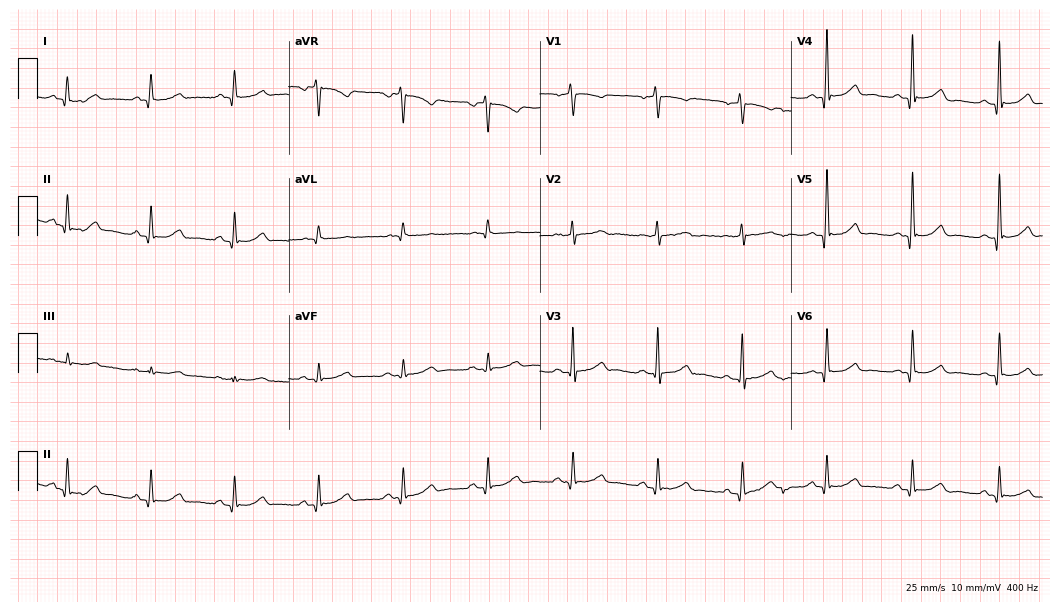
Standard 12-lead ECG recorded from a male, 63 years old. Read as a normal ECG.